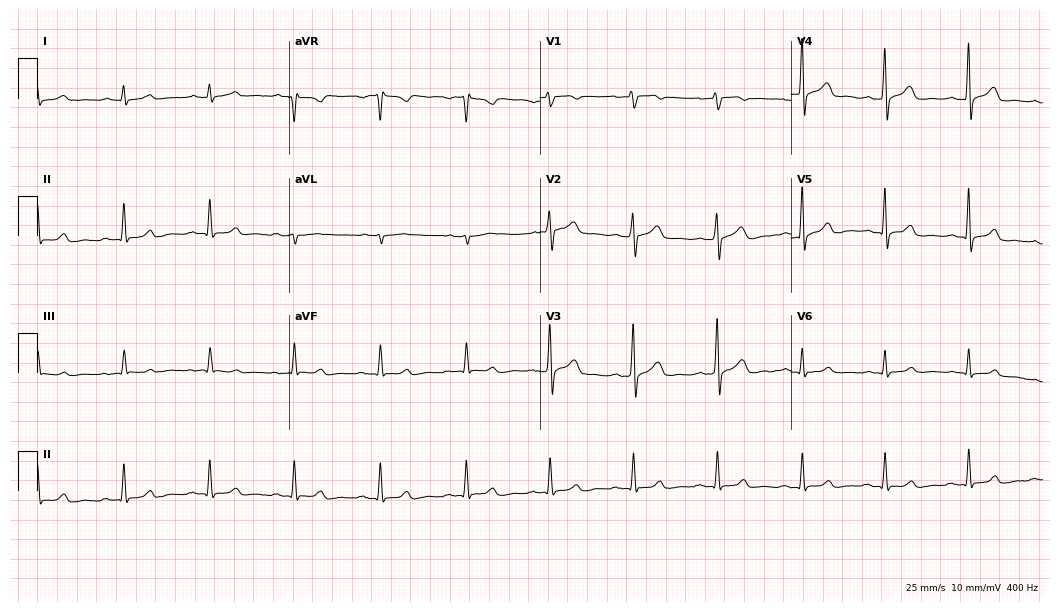
12-lead ECG from a male, 50 years old. Labelled as a normal ECG.